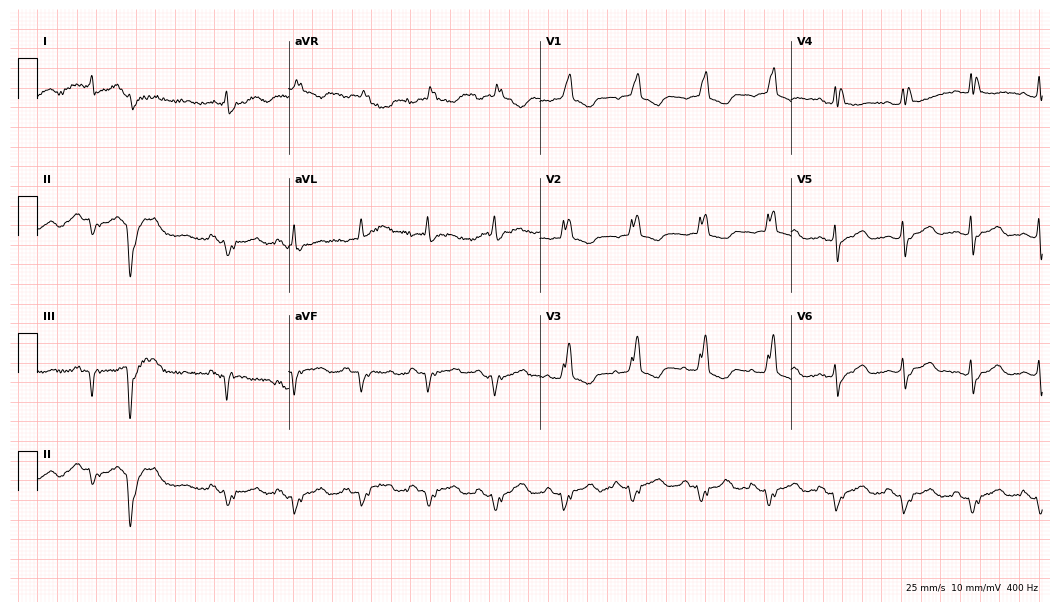
Resting 12-lead electrocardiogram (10.2-second recording at 400 Hz). Patient: a female, 82 years old. The tracing shows right bundle branch block.